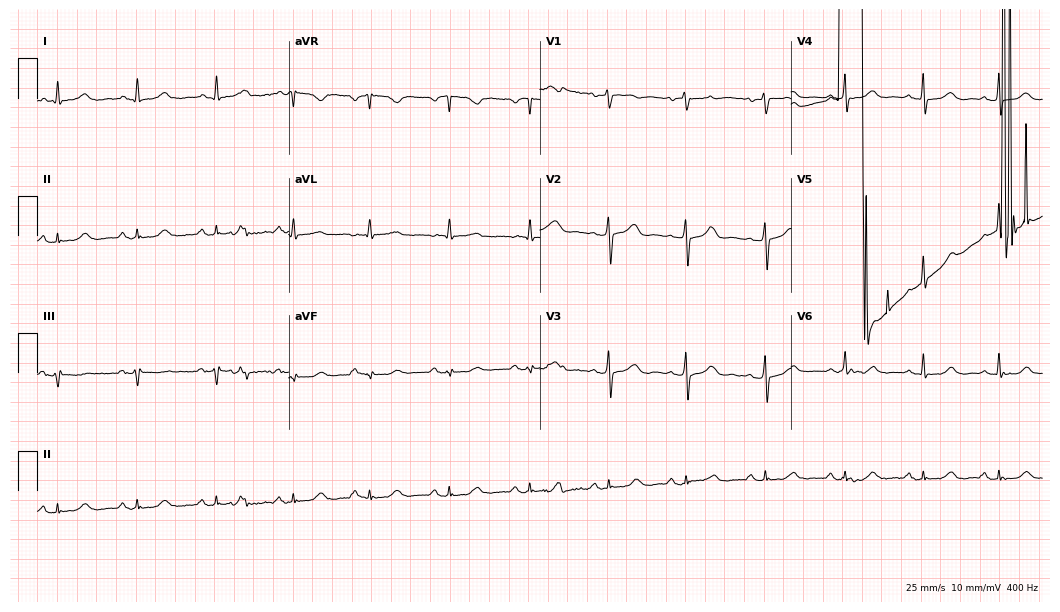
Electrocardiogram (10.2-second recording at 400 Hz), a 54-year-old woman. Of the six screened findings (first-degree AV block, right bundle branch block, left bundle branch block, sinus bradycardia, atrial fibrillation, sinus tachycardia), none is recorded.